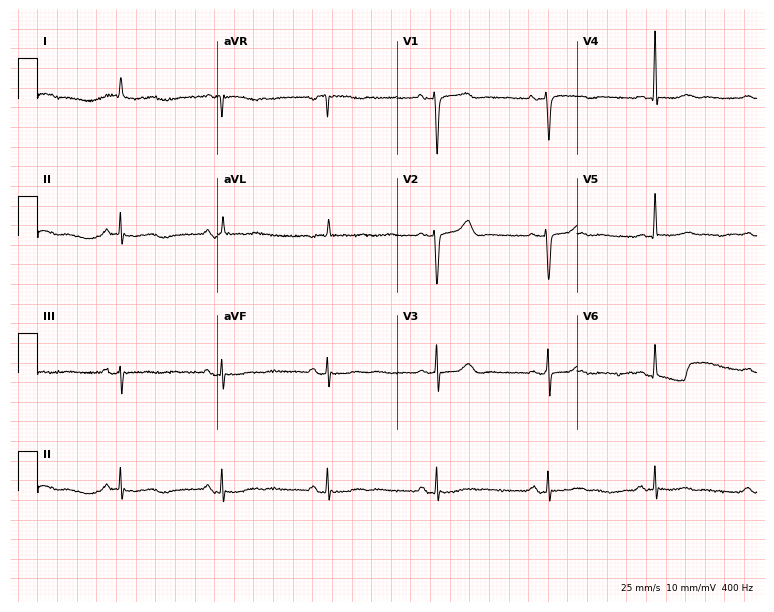
ECG (7.3-second recording at 400 Hz) — a woman, 80 years old. Screened for six findings — first-degree AV block, right bundle branch block, left bundle branch block, sinus bradycardia, atrial fibrillation, sinus tachycardia — none is recorded. Other findings, if any, are not listed.